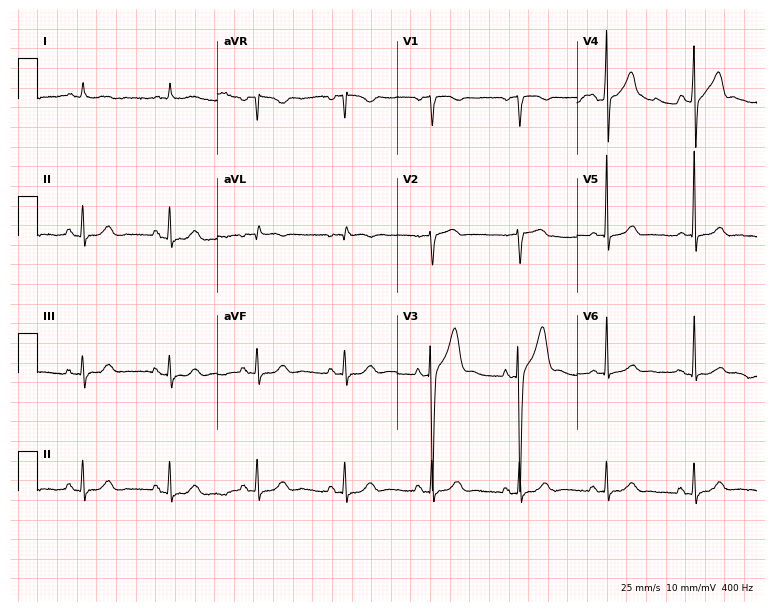
ECG — a man, 79 years old. Screened for six findings — first-degree AV block, right bundle branch block (RBBB), left bundle branch block (LBBB), sinus bradycardia, atrial fibrillation (AF), sinus tachycardia — none is recorded. Only these six findings were labelled.